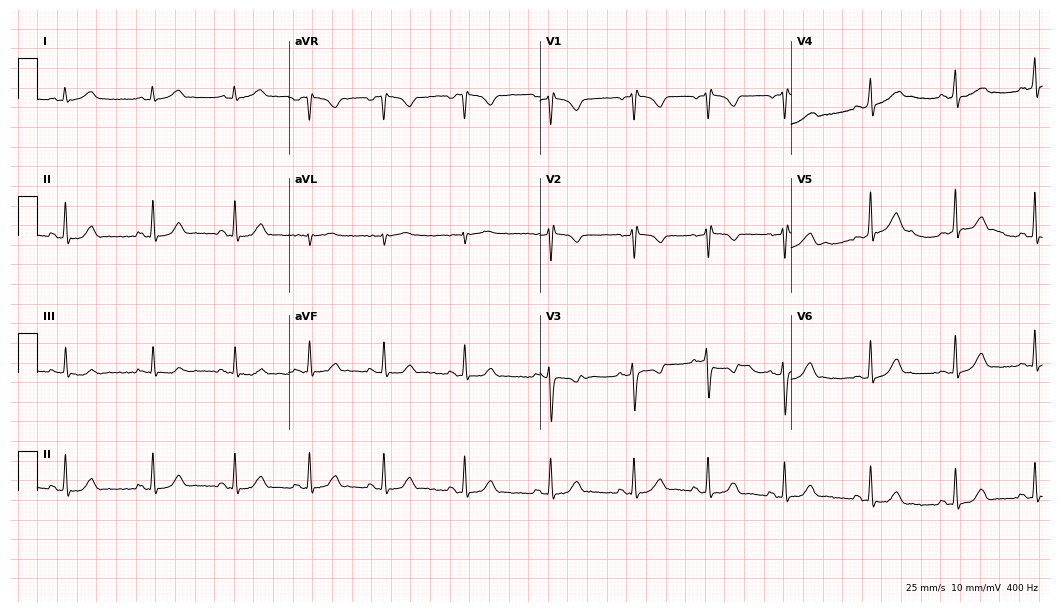
12-lead ECG (10.2-second recording at 400 Hz) from a 23-year-old female. Labelled as a normal ECG.